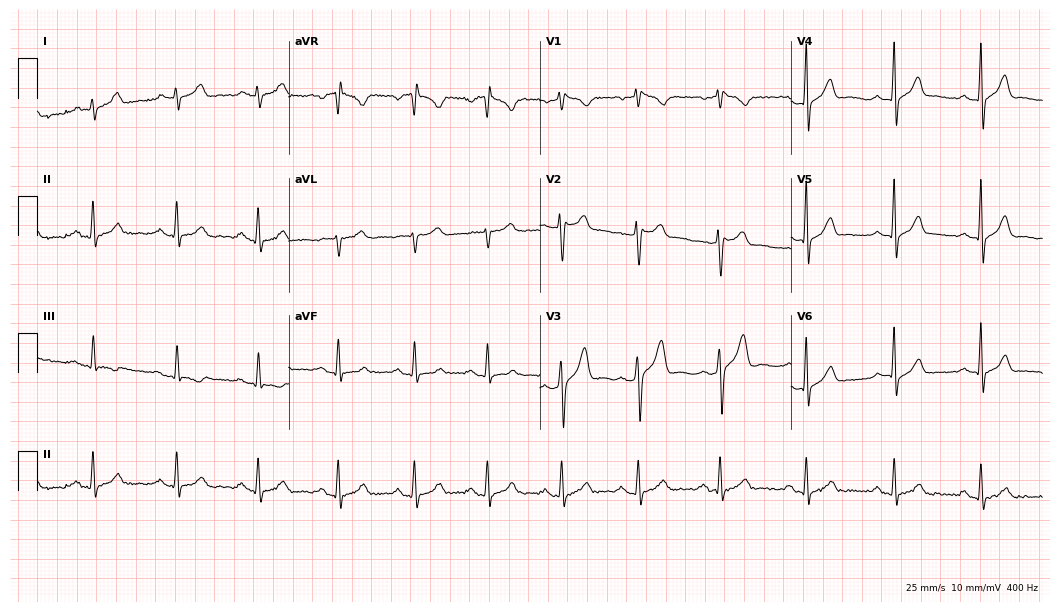
Electrocardiogram (10.2-second recording at 400 Hz), a 52-year-old male patient. Of the six screened findings (first-degree AV block, right bundle branch block, left bundle branch block, sinus bradycardia, atrial fibrillation, sinus tachycardia), none is recorded. Other findings, if any, are not listed.